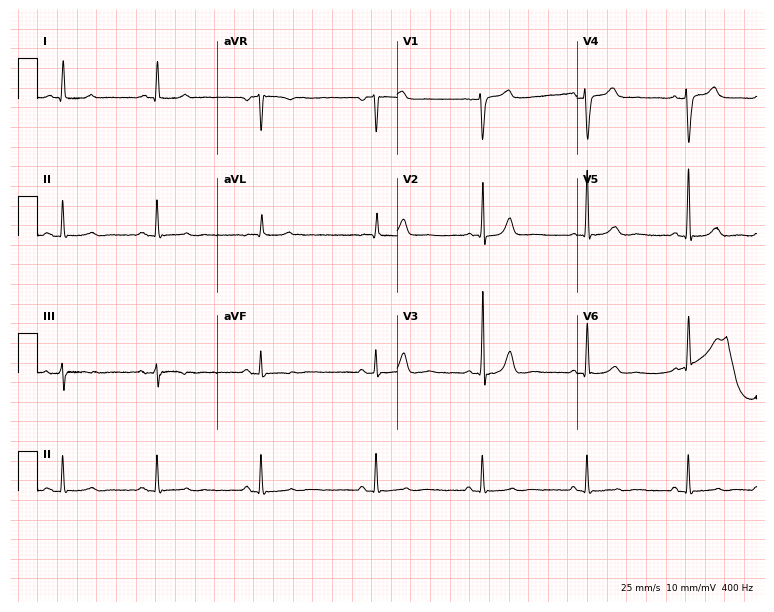
Resting 12-lead electrocardiogram (7.3-second recording at 400 Hz). Patient: a 64-year-old male. Read as a normal ECG.